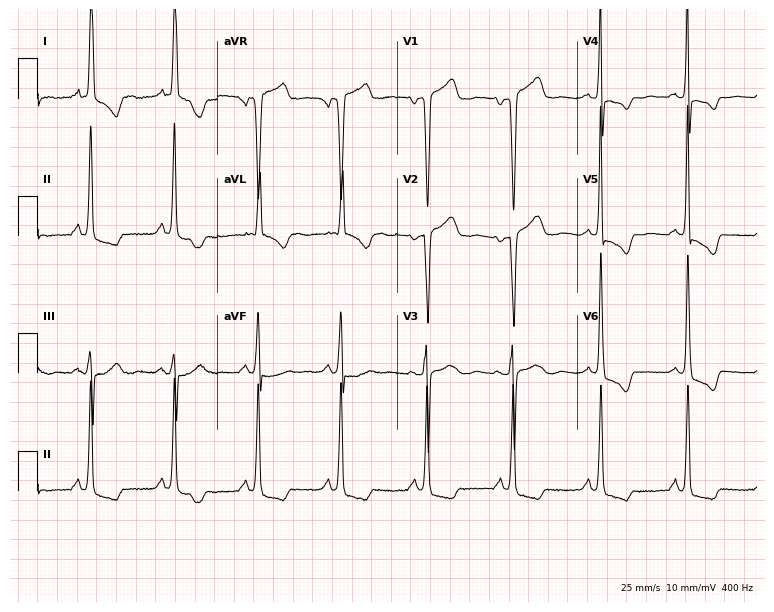
ECG (7.3-second recording at 400 Hz) — a woman, 81 years old. Screened for six findings — first-degree AV block, right bundle branch block, left bundle branch block, sinus bradycardia, atrial fibrillation, sinus tachycardia — none is recorded. Findings outside these six are not listed.